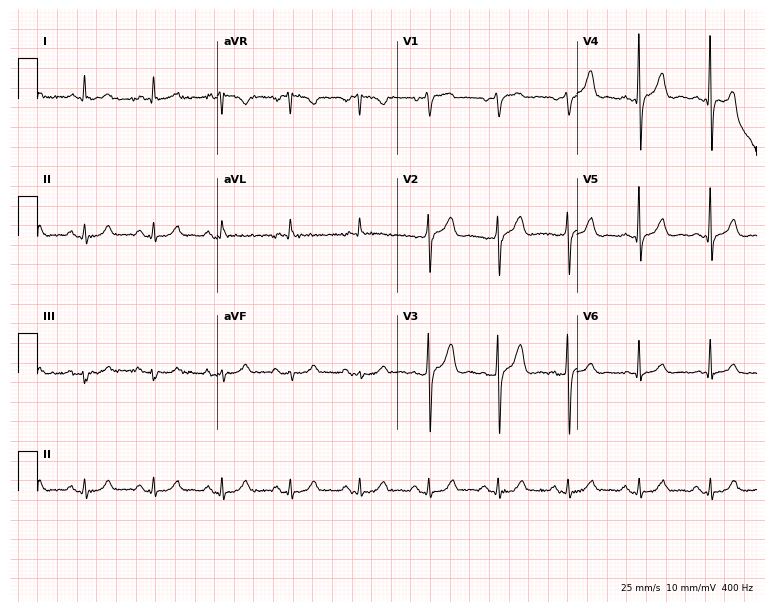
Standard 12-lead ECG recorded from a 71-year-old male (7.3-second recording at 400 Hz). None of these six findings is recorded: first-degree AV block, right bundle branch block (RBBB), left bundle branch block (LBBB), sinus bradycardia, atrial fibrillation (AF), sinus tachycardia. Other findings, if any, are not listed.